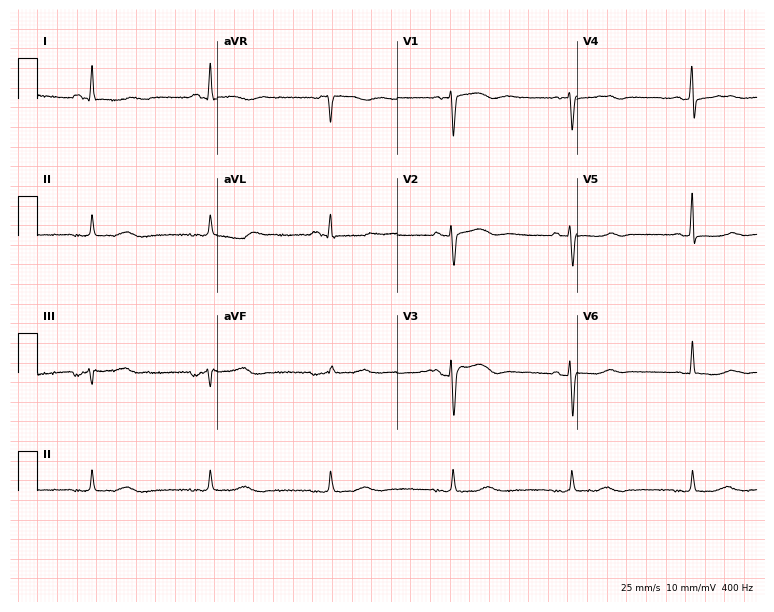
12-lead ECG from a 62-year-old female (7.3-second recording at 400 Hz). Shows sinus bradycardia (a sinus rate of 50 beats per minute or less).